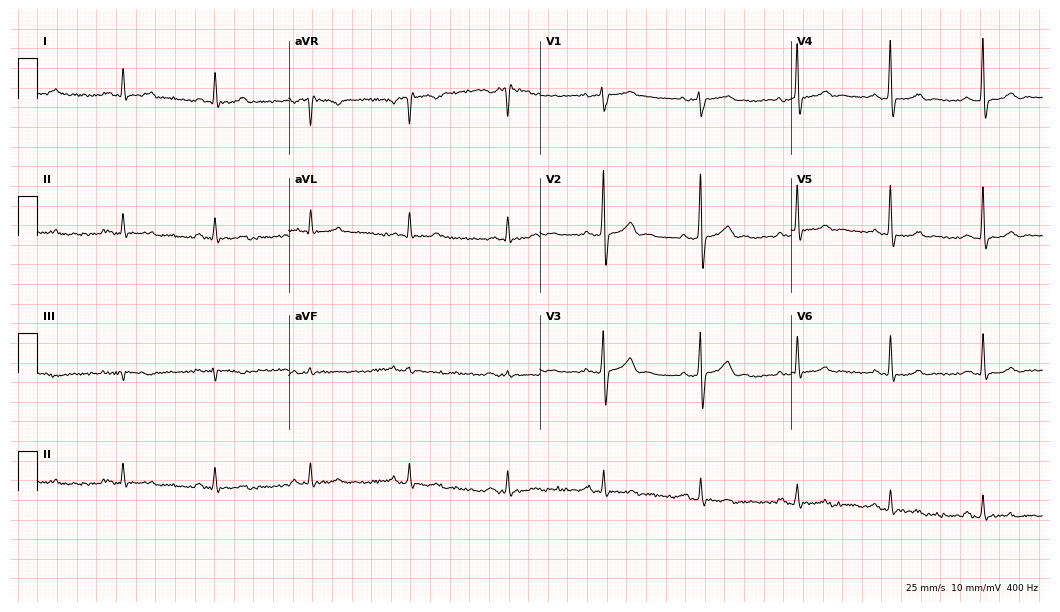
Standard 12-lead ECG recorded from a 55-year-old man (10.2-second recording at 400 Hz). Read as a normal ECG.